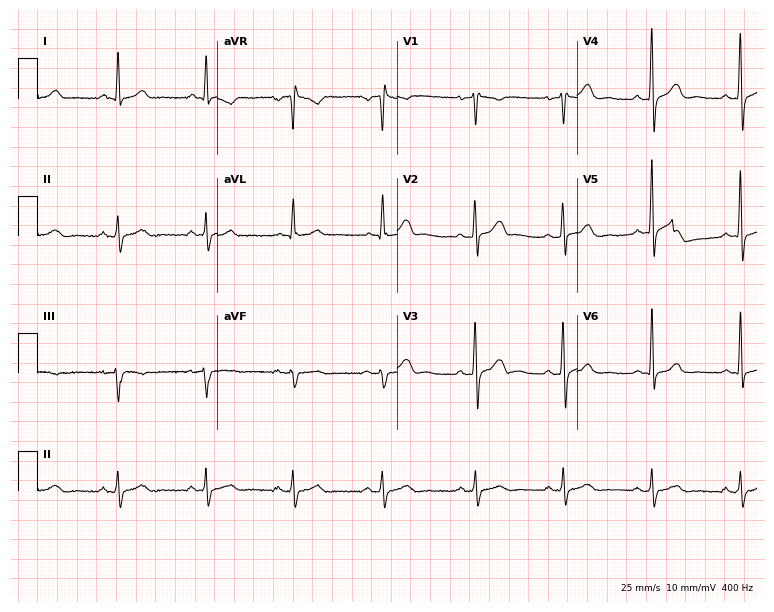
12-lead ECG from a 48-year-old male. Recorded interpretation: within normal limits.